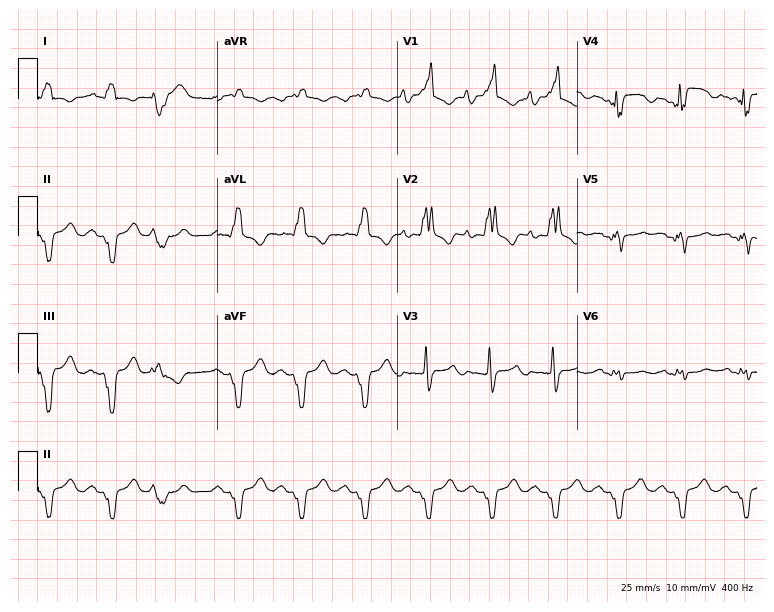
ECG — a 35-year-old male patient. Findings include right bundle branch block.